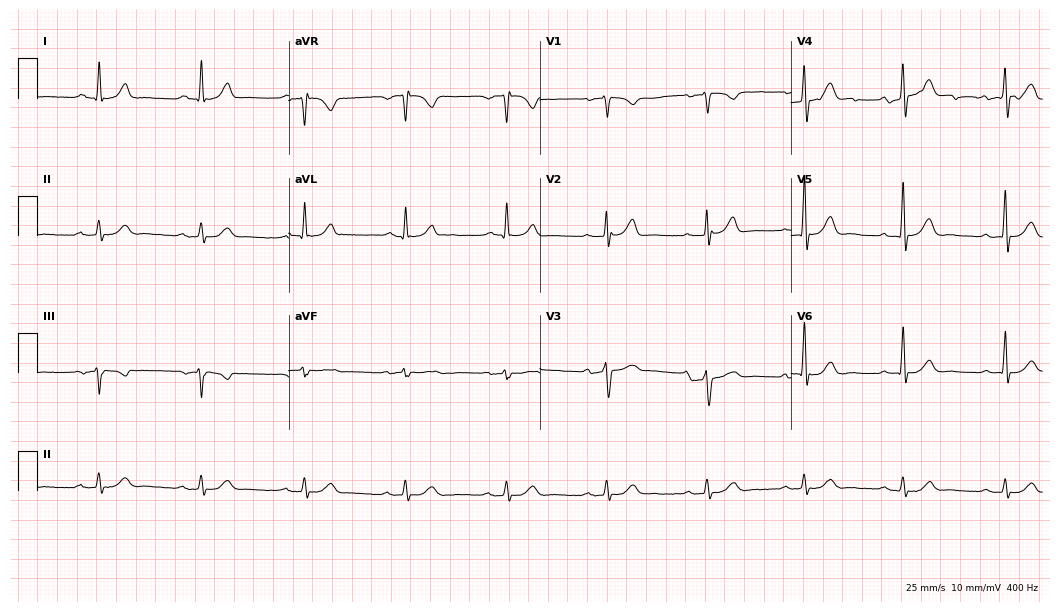
ECG (10.2-second recording at 400 Hz) — a male patient, 65 years old. Labelled as a normal ECG.